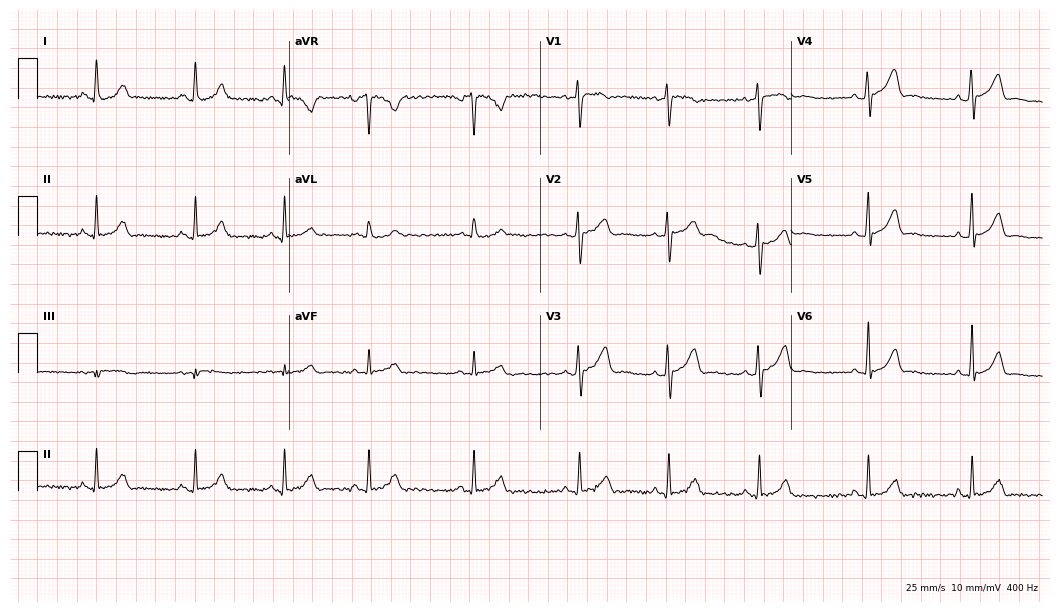
Resting 12-lead electrocardiogram (10.2-second recording at 400 Hz). Patient: a female, 28 years old. None of these six findings is recorded: first-degree AV block, right bundle branch block, left bundle branch block, sinus bradycardia, atrial fibrillation, sinus tachycardia.